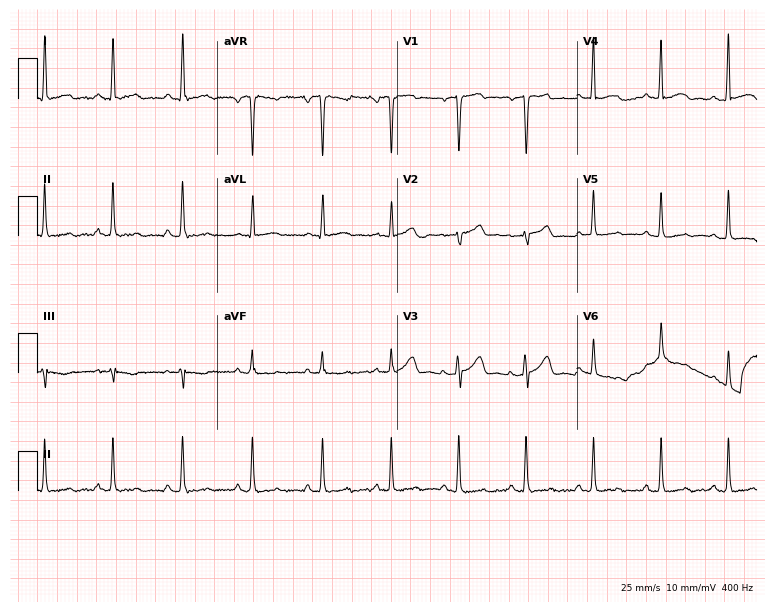
Standard 12-lead ECG recorded from a female patient, 48 years old. None of these six findings is recorded: first-degree AV block, right bundle branch block, left bundle branch block, sinus bradycardia, atrial fibrillation, sinus tachycardia. Other findings, if any, are not listed.